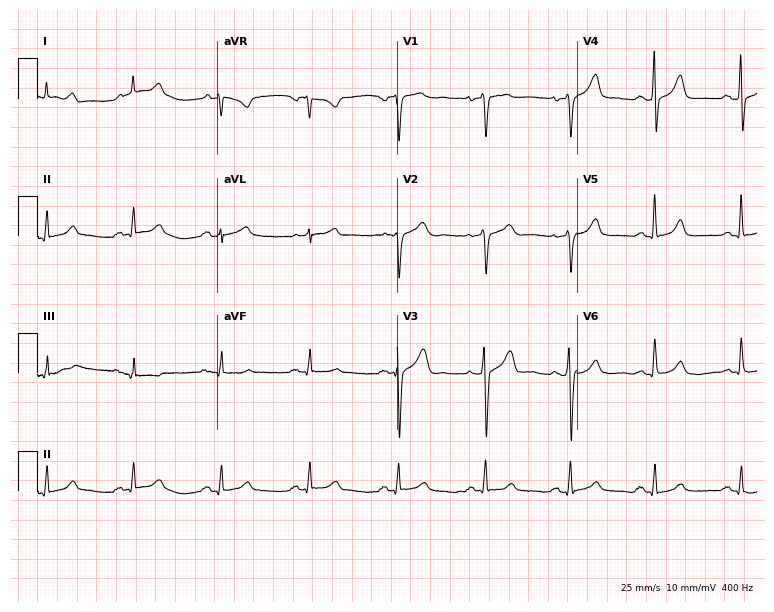
ECG — a 65-year-old male. Labelled as a normal ECG.